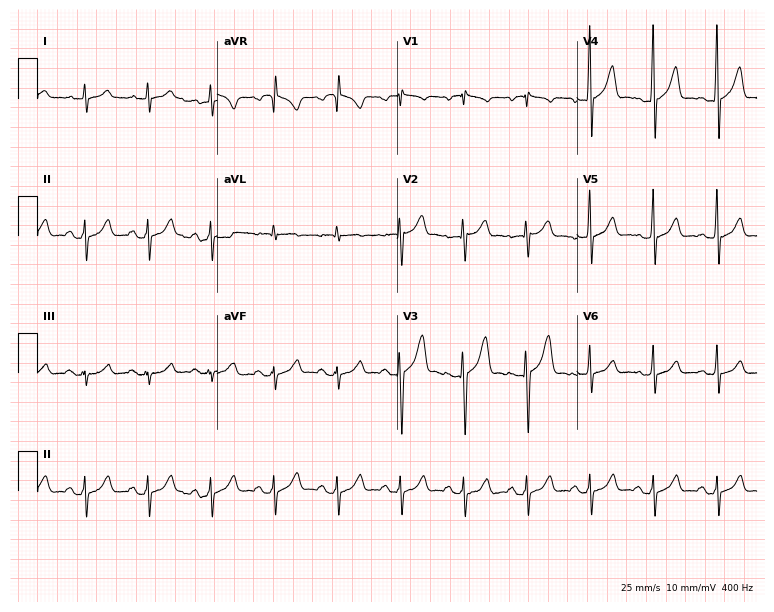
Standard 12-lead ECG recorded from a man, 51 years old. Read as a normal ECG.